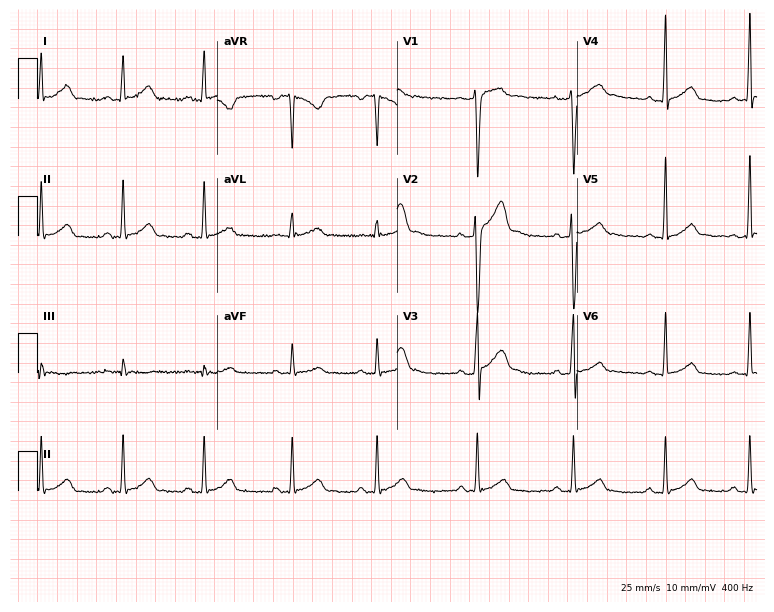
Electrocardiogram, a man, 20 years old. Overall reading on record: normal ECG.